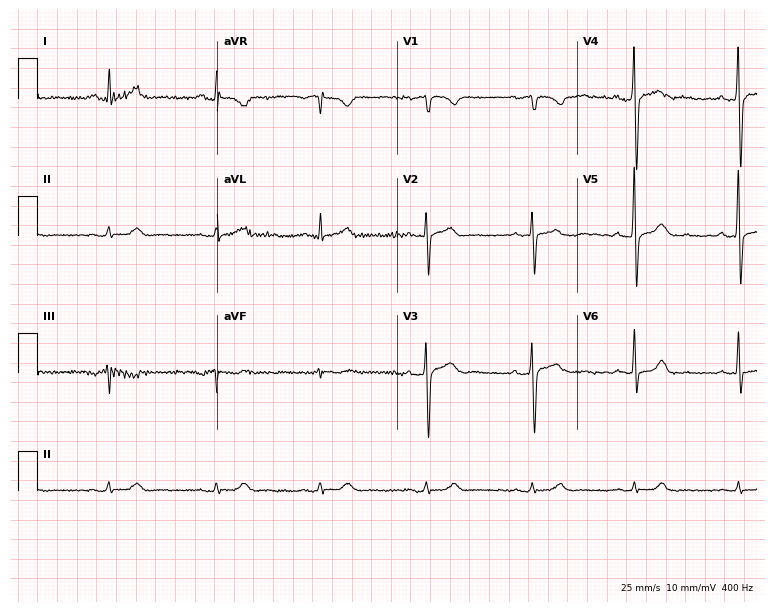
ECG (7.3-second recording at 400 Hz) — a 65-year-old male. Labelled as a normal ECG.